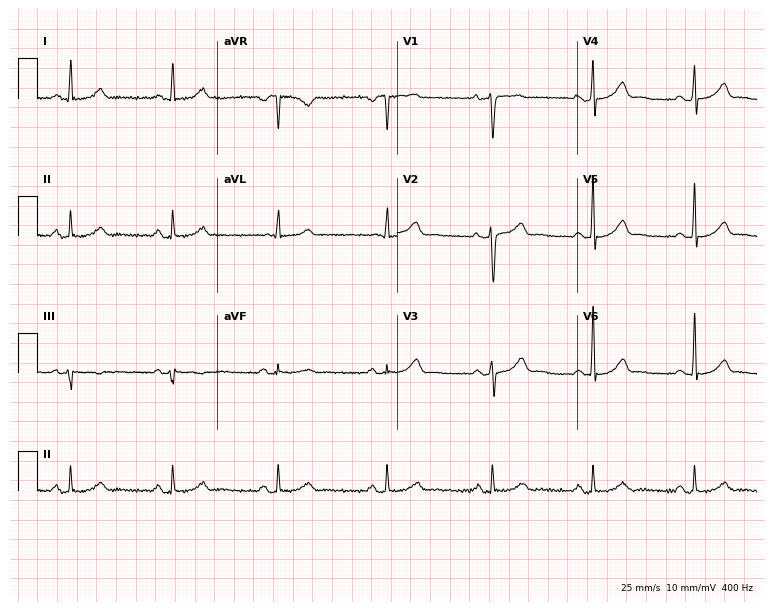
Standard 12-lead ECG recorded from a woman, 38 years old. Read as a normal ECG.